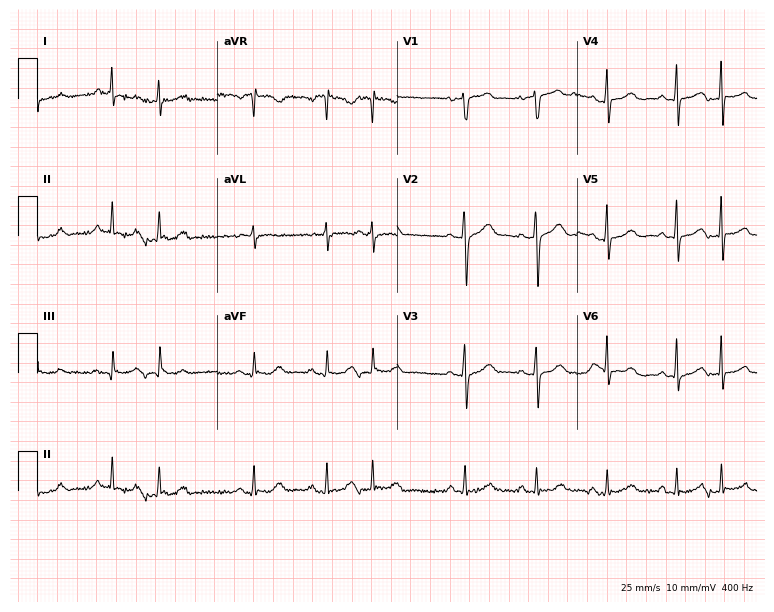
Standard 12-lead ECG recorded from a 66-year-old woman (7.3-second recording at 400 Hz). None of these six findings is recorded: first-degree AV block, right bundle branch block, left bundle branch block, sinus bradycardia, atrial fibrillation, sinus tachycardia. Only these six findings were labelled.